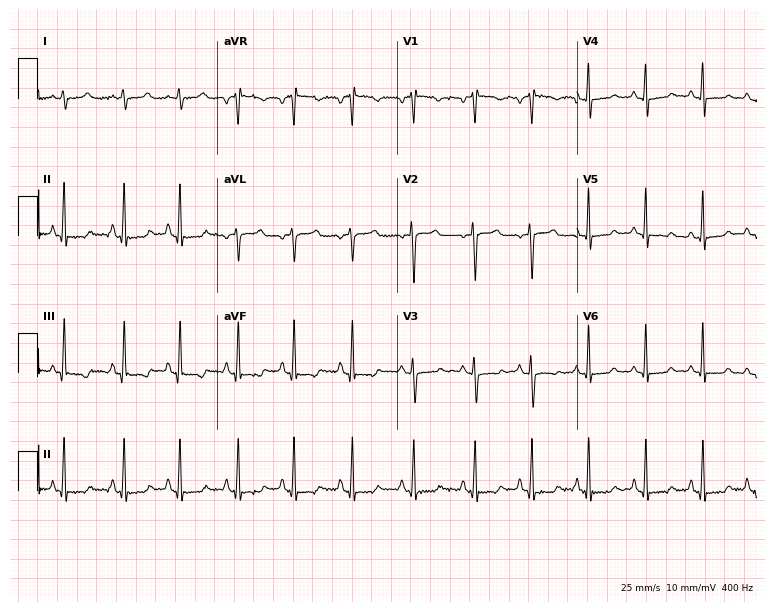
12-lead ECG from a female, 19 years old. Shows sinus tachycardia (a sinus rate of 100 beats per minute or more).